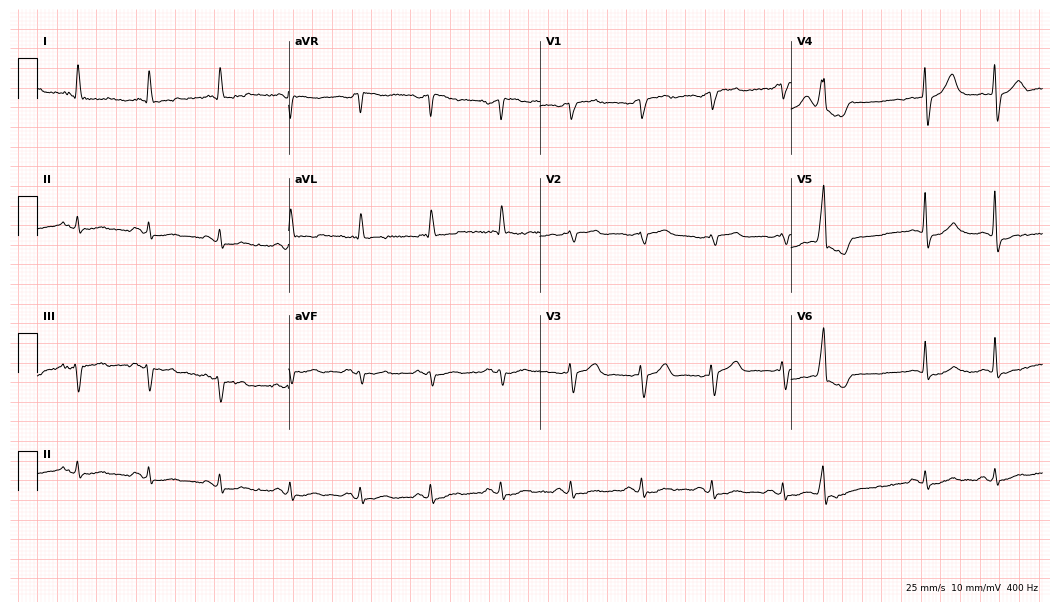
12-lead ECG (10.2-second recording at 400 Hz) from a man, 85 years old. Labelled as a normal ECG.